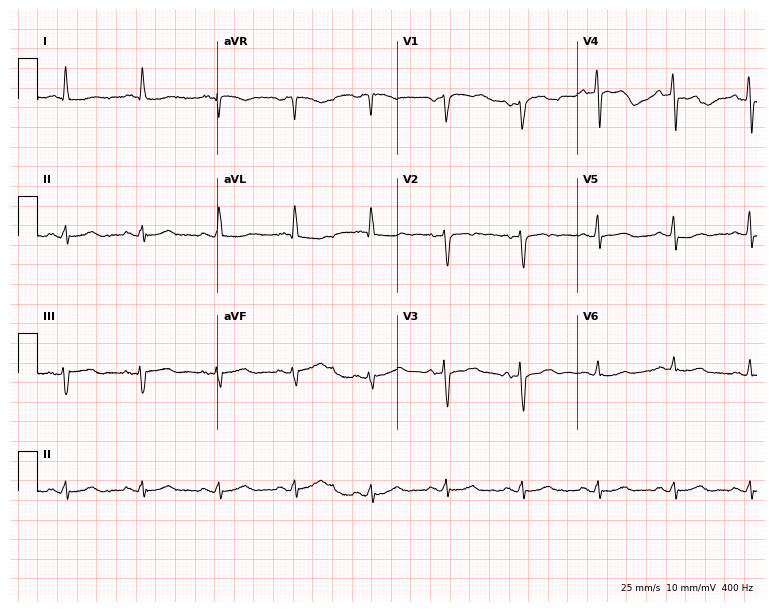
Standard 12-lead ECG recorded from a 68-year-old man. None of these six findings is recorded: first-degree AV block, right bundle branch block (RBBB), left bundle branch block (LBBB), sinus bradycardia, atrial fibrillation (AF), sinus tachycardia.